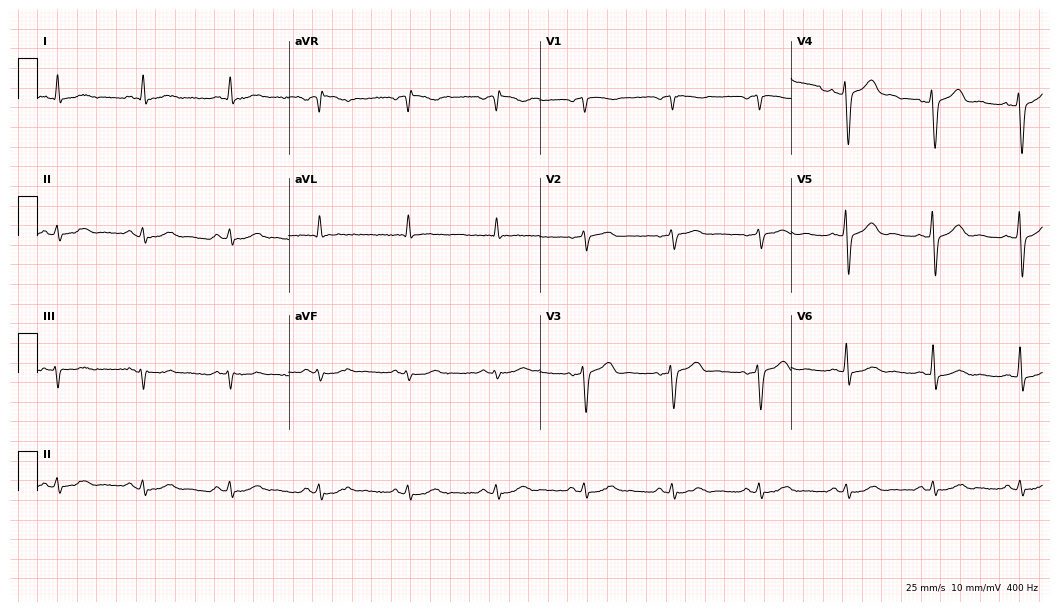
Electrocardiogram (10.2-second recording at 400 Hz), a 64-year-old male patient. Of the six screened findings (first-degree AV block, right bundle branch block, left bundle branch block, sinus bradycardia, atrial fibrillation, sinus tachycardia), none is recorded. Findings outside these six are not listed.